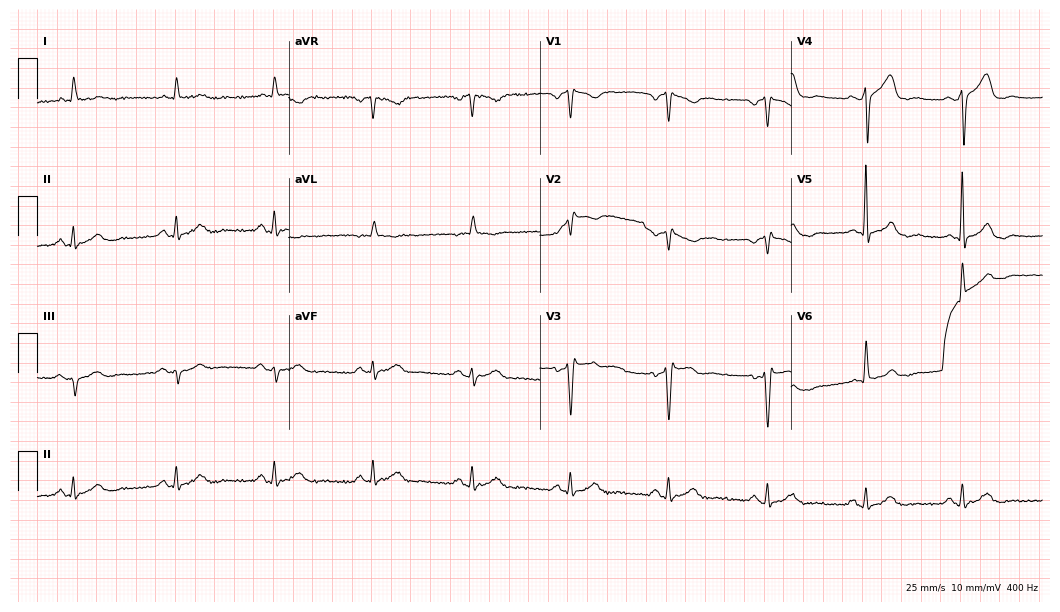
Resting 12-lead electrocardiogram (10.2-second recording at 400 Hz). Patient: an 84-year-old woman. None of these six findings is recorded: first-degree AV block, right bundle branch block, left bundle branch block, sinus bradycardia, atrial fibrillation, sinus tachycardia.